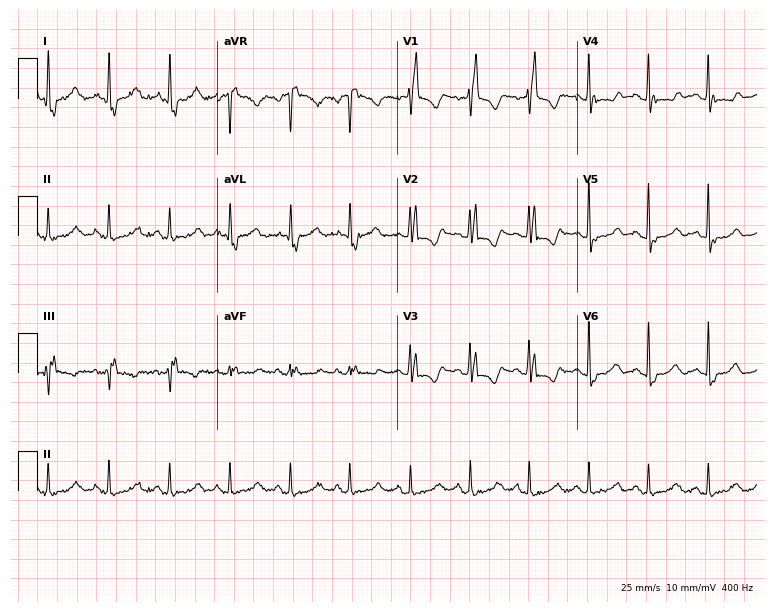
12-lead ECG from a 79-year-old female. Shows right bundle branch block.